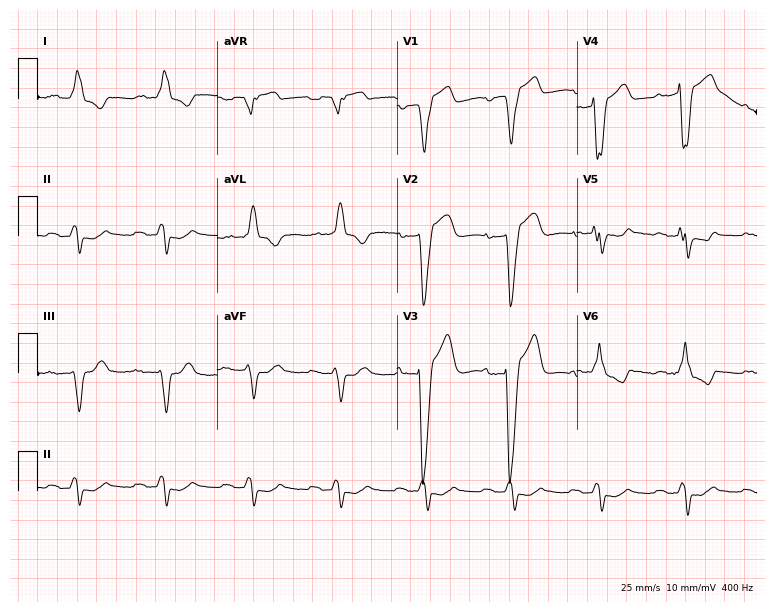
ECG (7.3-second recording at 400 Hz) — a 65-year-old man. Findings include left bundle branch block (LBBB).